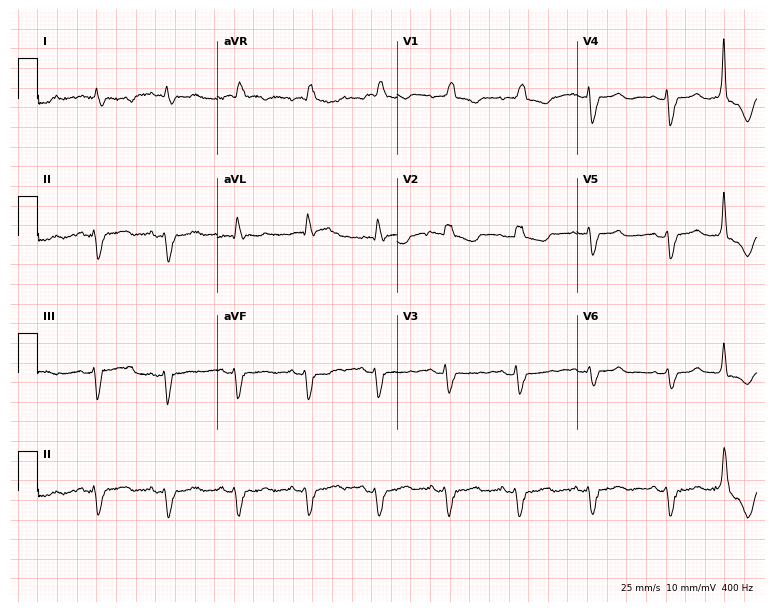
Standard 12-lead ECG recorded from a woman, 69 years old. The tracing shows right bundle branch block.